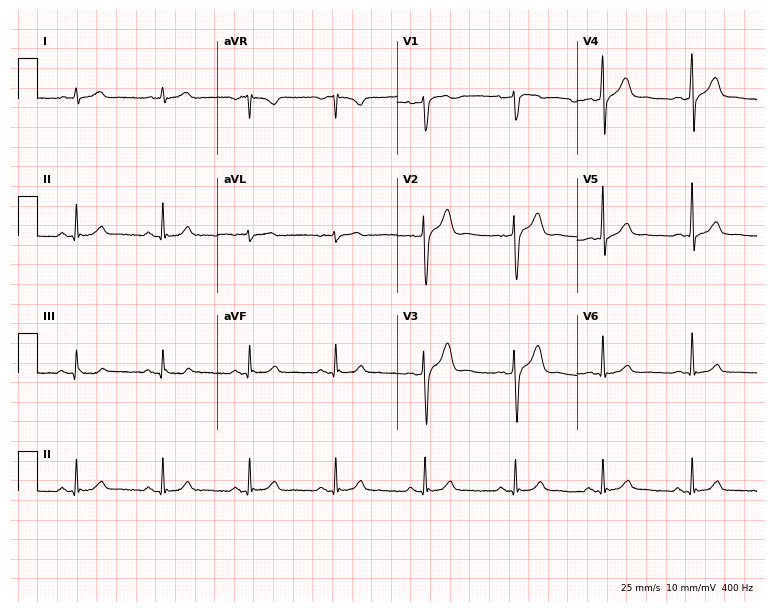
Electrocardiogram (7.3-second recording at 400 Hz), a 44-year-old man. Of the six screened findings (first-degree AV block, right bundle branch block (RBBB), left bundle branch block (LBBB), sinus bradycardia, atrial fibrillation (AF), sinus tachycardia), none is recorded. Other findings, if any, are not listed.